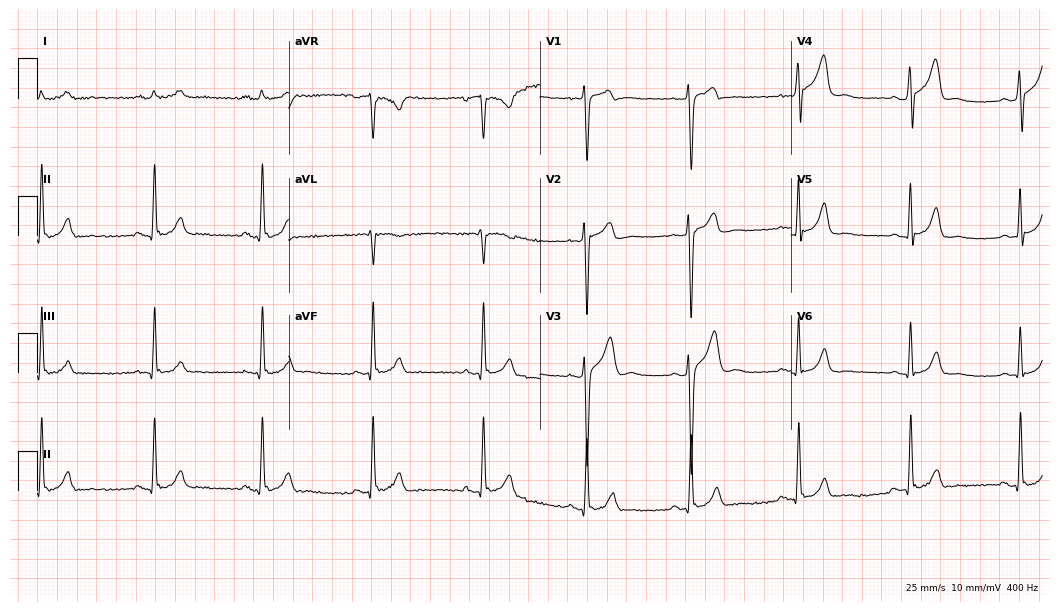
Electrocardiogram (10.2-second recording at 400 Hz), a 26-year-old man. Of the six screened findings (first-degree AV block, right bundle branch block, left bundle branch block, sinus bradycardia, atrial fibrillation, sinus tachycardia), none is recorded. Only these six findings were labelled.